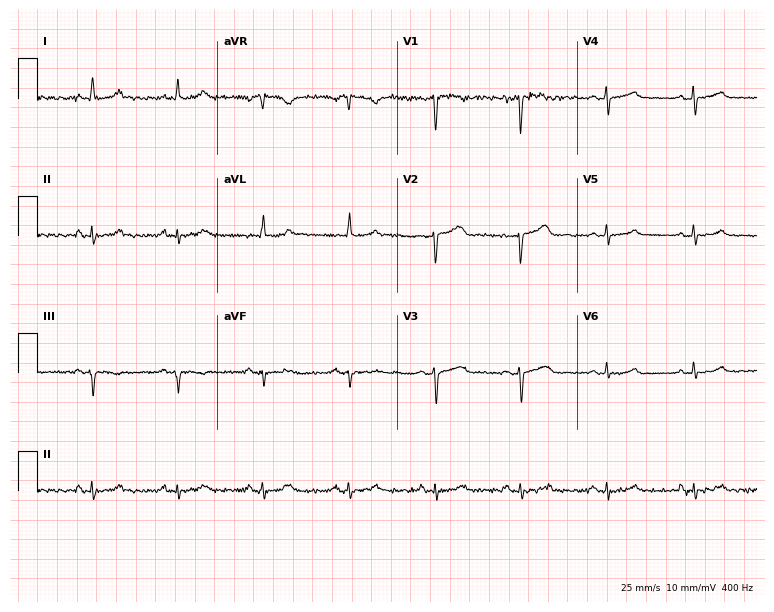
Electrocardiogram (7.3-second recording at 400 Hz), a 38-year-old female patient. Overall reading on record: normal ECG.